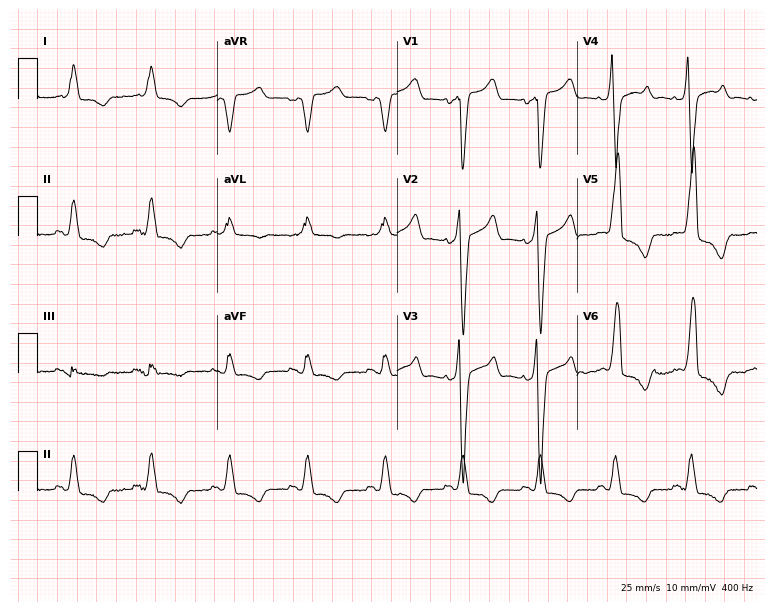
12-lead ECG (7.3-second recording at 400 Hz) from a 70-year-old male patient. Screened for six findings — first-degree AV block, right bundle branch block, left bundle branch block, sinus bradycardia, atrial fibrillation, sinus tachycardia — none is recorded.